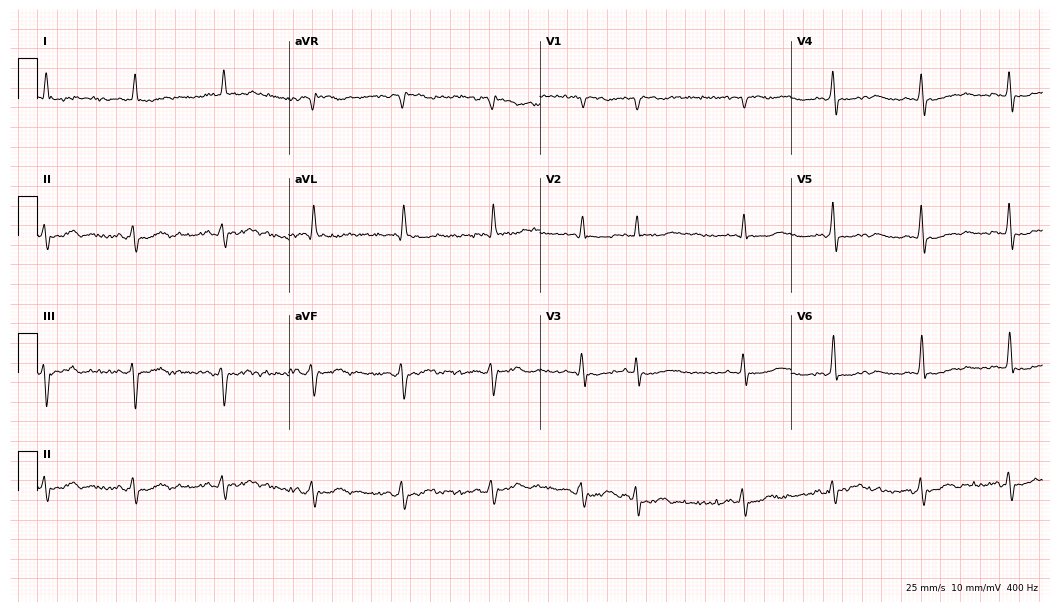
ECG — a man, 86 years old. Screened for six findings — first-degree AV block, right bundle branch block, left bundle branch block, sinus bradycardia, atrial fibrillation, sinus tachycardia — none is recorded.